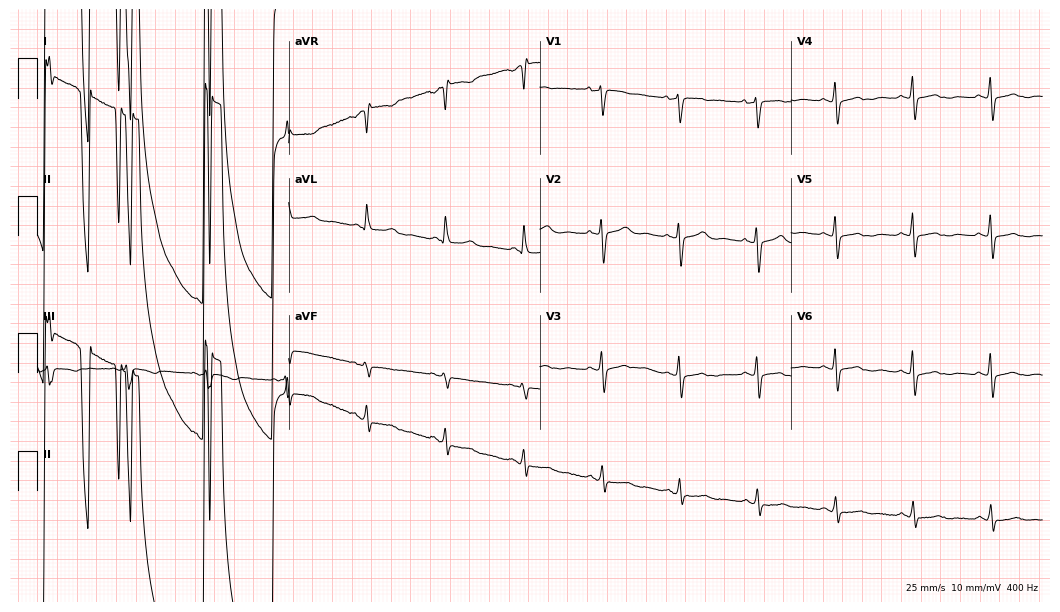
Standard 12-lead ECG recorded from a woman, 47 years old (10.2-second recording at 400 Hz). None of these six findings is recorded: first-degree AV block, right bundle branch block (RBBB), left bundle branch block (LBBB), sinus bradycardia, atrial fibrillation (AF), sinus tachycardia.